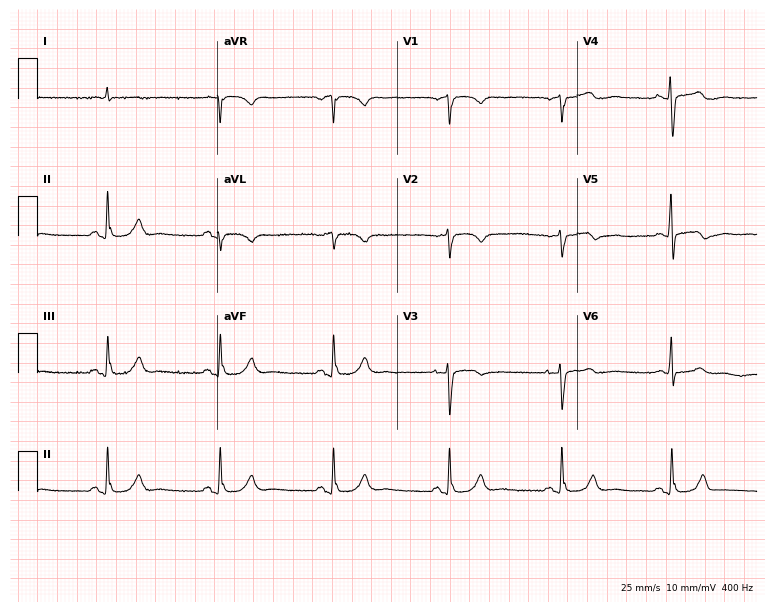
Resting 12-lead electrocardiogram (7.3-second recording at 400 Hz). Patient: a male, 72 years old. None of these six findings is recorded: first-degree AV block, right bundle branch block, left bundle branch block, sinus bradycardia, atrial fibrillation, sinus tachycardia. Only these six findings were labelled.